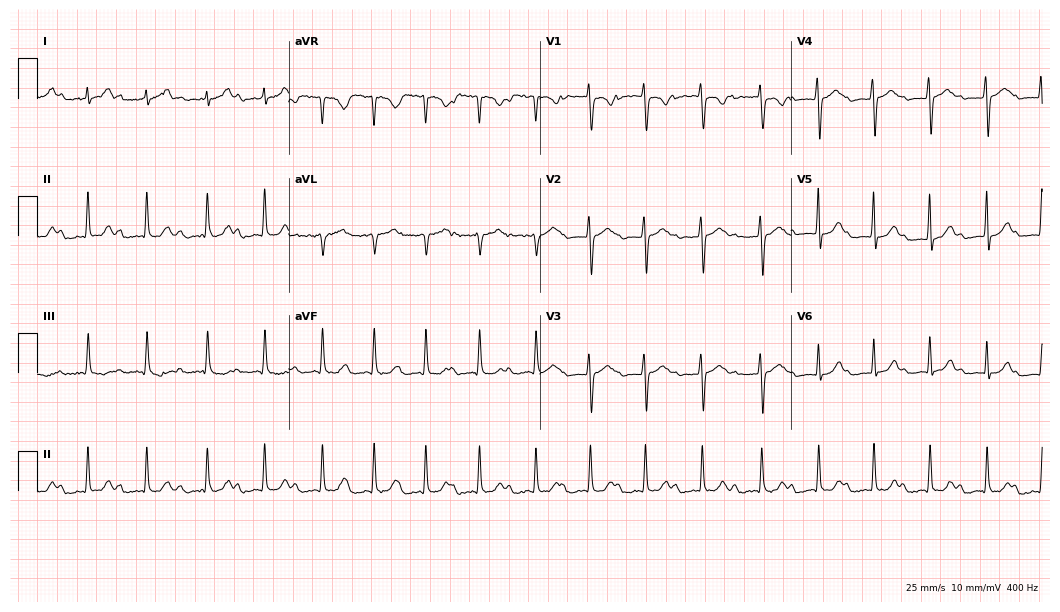
12-lead ECG from a 21-year-old female (10.2-second recording at 400 Hz). Shows first-degree AV block, sinus tachycardia (a sinus rate of 100 beats per minute or more).